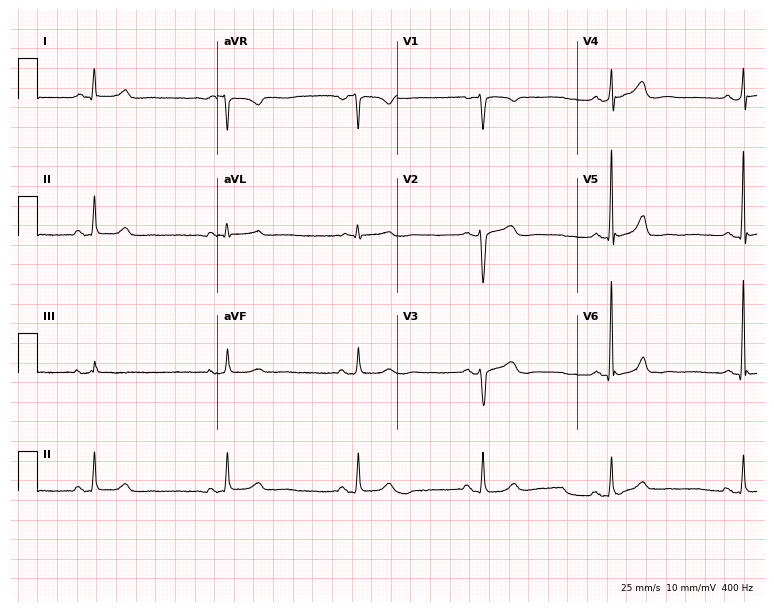
ECG (7.3-second recording at 400 Hz) — a 67-year-old female patient. Findings include sinus bradycardia (a sinus rate of 50 beats per minute or less).